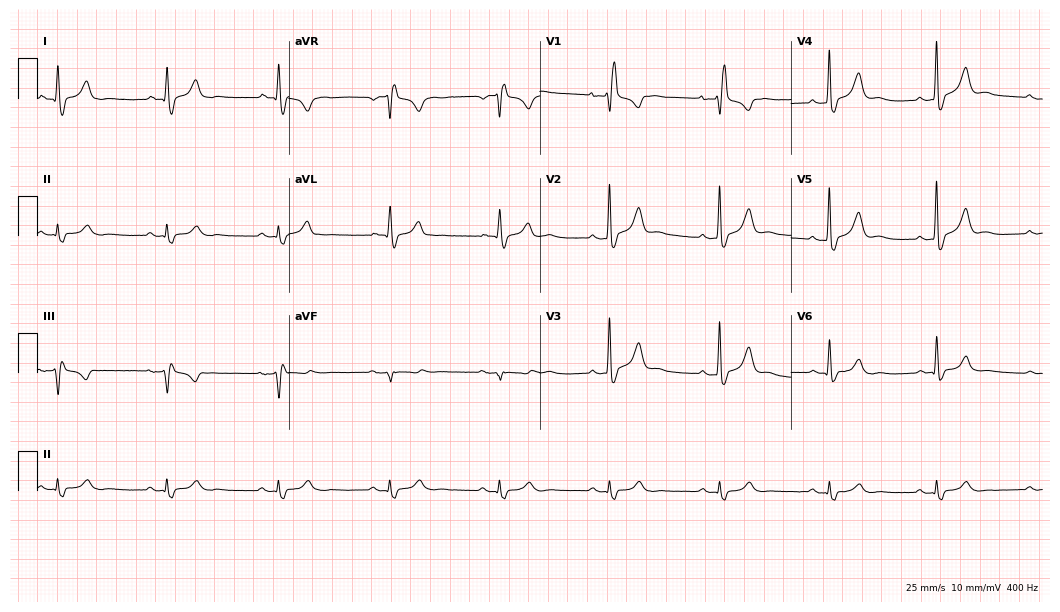
Electrocardiogram (10.2-second recording at 400 Hz), a 68-year-old man. Interpretation includes right bundle branch block.